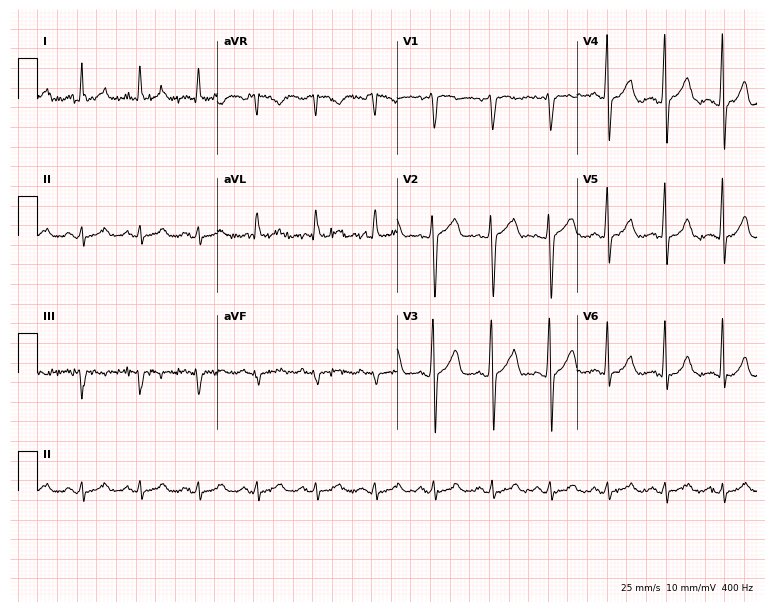
12-lead ECG from a 63-year-old male patient. Shows sinus tachycardia (a sinus rate of 100 beats per minute or more).